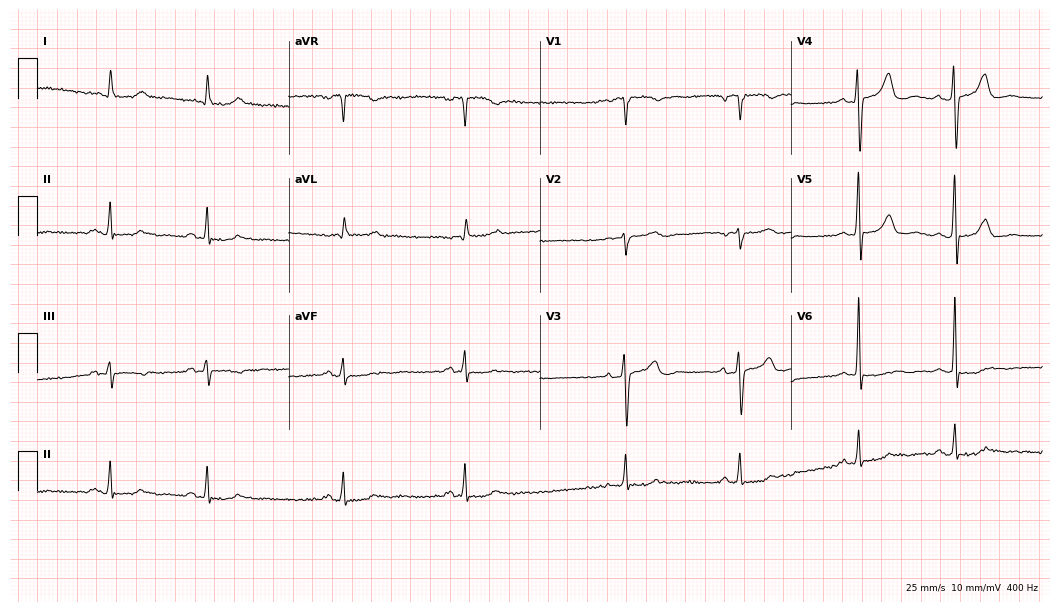
Electrocardiogram, a woman, 61 years old. Of the six screened findings (first-degree AV block, right bundle branch block (RBBB), left bundle branch block (LBBB), sinus bradycardia, atrial fibrillation (AF), sinus tachycardia), none is recorded.